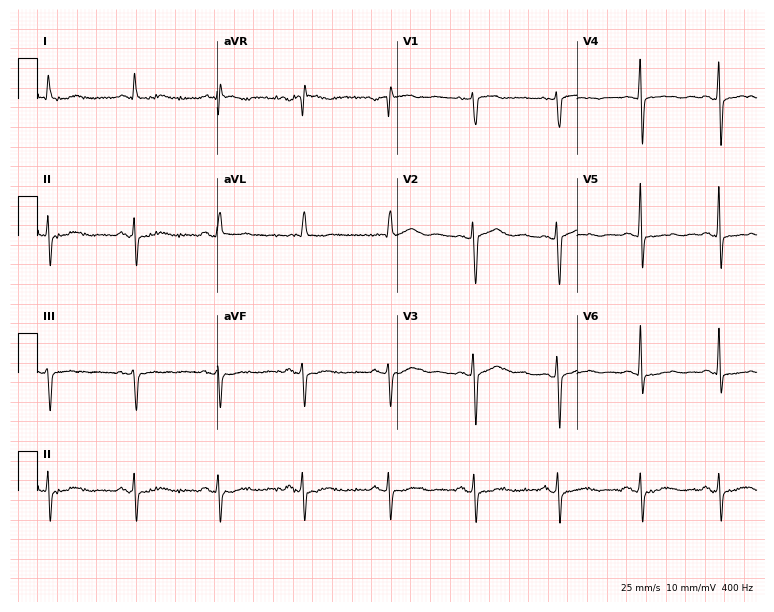
12-lead ECG (7.3-second recording at 400 Hz) from a female patient, 66 years old. Screened for six findings — first-degree AV block, right bundle branch block, left bundle branch block, sinus bradycardia, atrial fibrillation, sinus tachycardia — none is recorded. Findings outside these six are not listed.